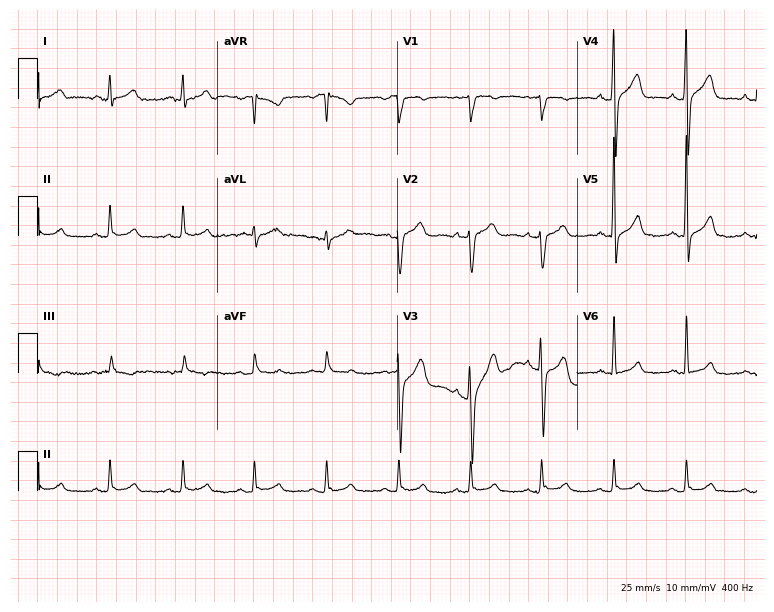
12-lead ECG (7.3-second recording at 400 Hz) from a male, 42 years old. Screened for six findings — first-degree AV block, right bundle branch block, left bundle branch block, sinus bradycardia, atrial fibrillation, sinus tachycardia — none is recorded. Other findings, if any, are not listed.